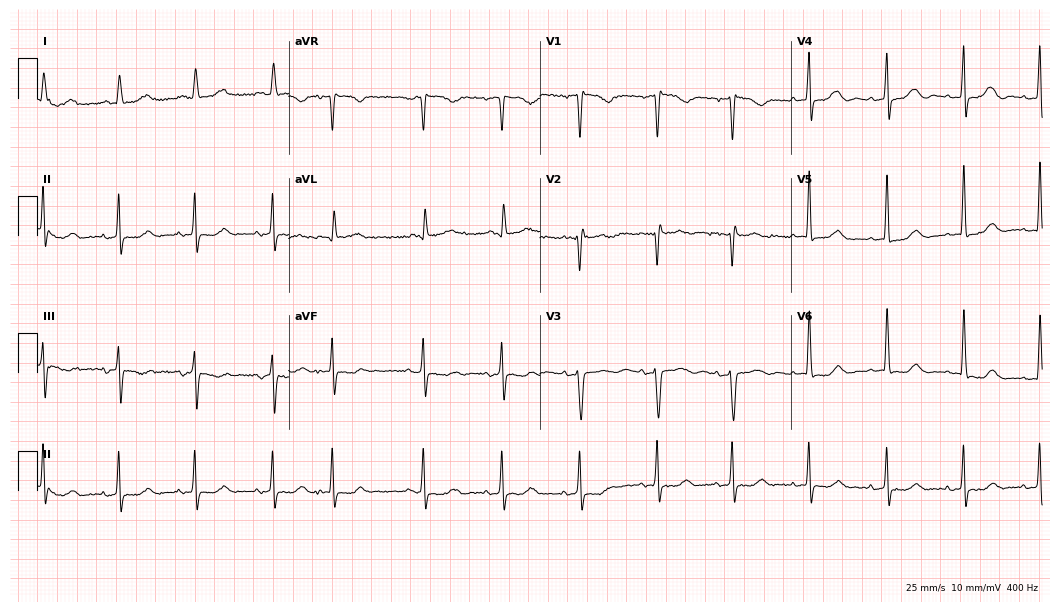
Electrocardiogram, a female patient, 80 years old. Of the six screened findings (first-degree AV block, right bundle branch block (RBBB), left bundle branch block (LBBB), sinus bradycardia, atrial fibrillation (AF), sinus tachycardia), none is recorded. Findings outside these six are not listed.